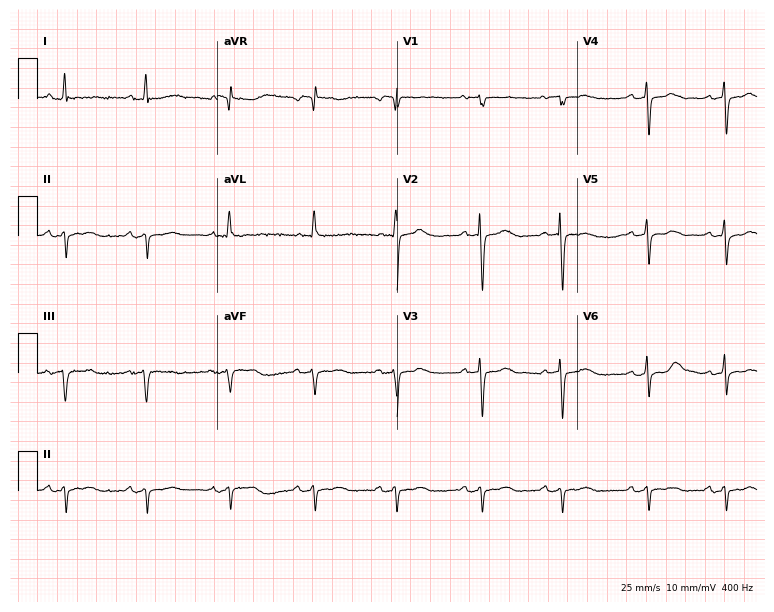
Resting 12-lead electrocardiogram (7.3-second recording at 400 Hz). Patient: a female, 84 years old. None of these six findings is recorded: first-degree AV block, right bundle branch block, left bundle branch block, sinus bradycardia, atrial fibrillation, sinus tachycardia. Findings outside these six are not listed.